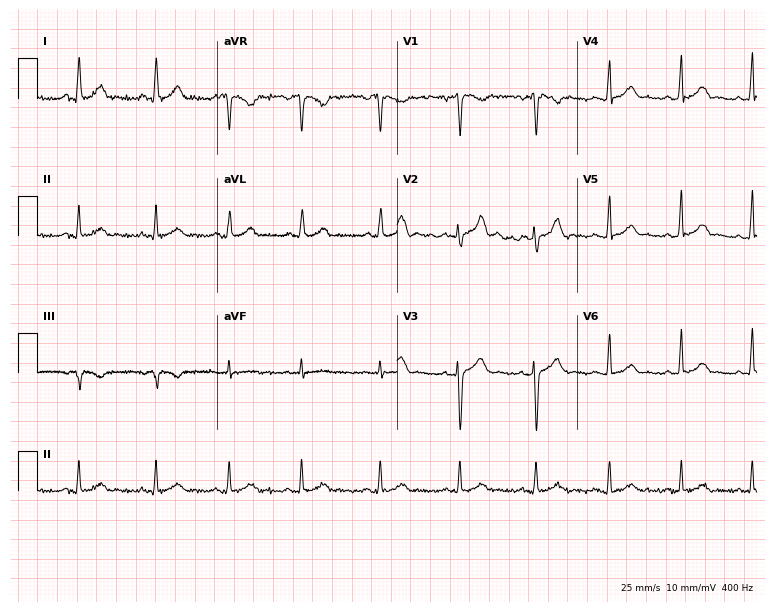
Resting 12-lead electrocardiogram. Patient: a 30-year-old male. Read as a normal ECG.